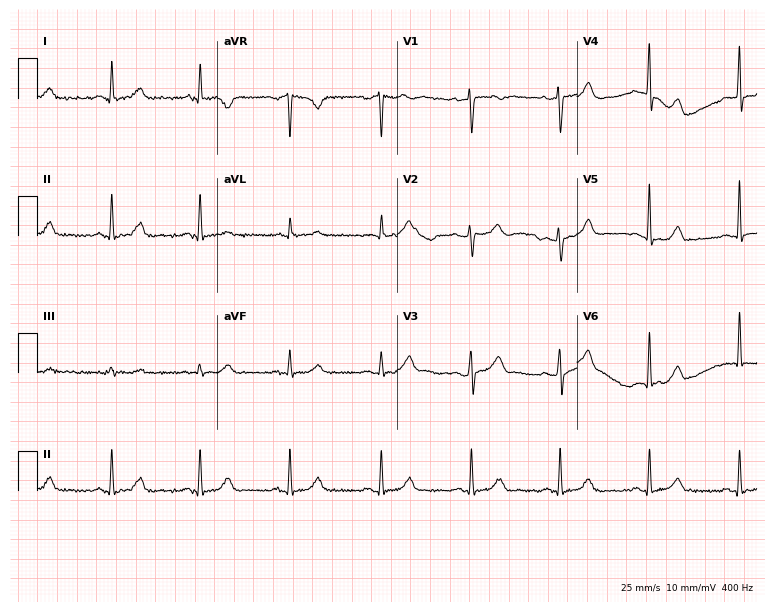
12-lead ECG (7.3-second recording at 400 Hz) from a woman, 36 years old. Screened for six findings — first-degree AV block, right bundle branch block, left bundle branch block, sinus bradycardia, atrial fibrillation, sinus tachycardia — none is recorded. Other findings, if any, are not listed.